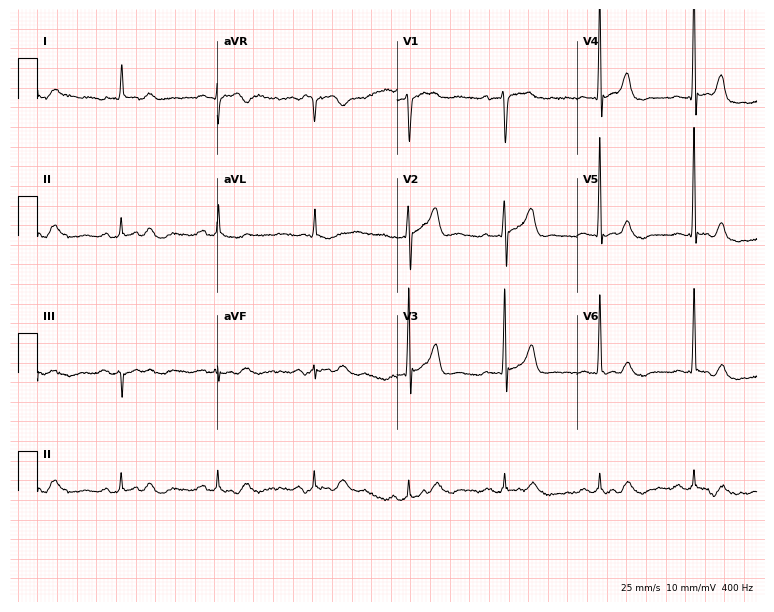
12-lead ECG from an 82-year-old male. Labelled as a normal ECG.